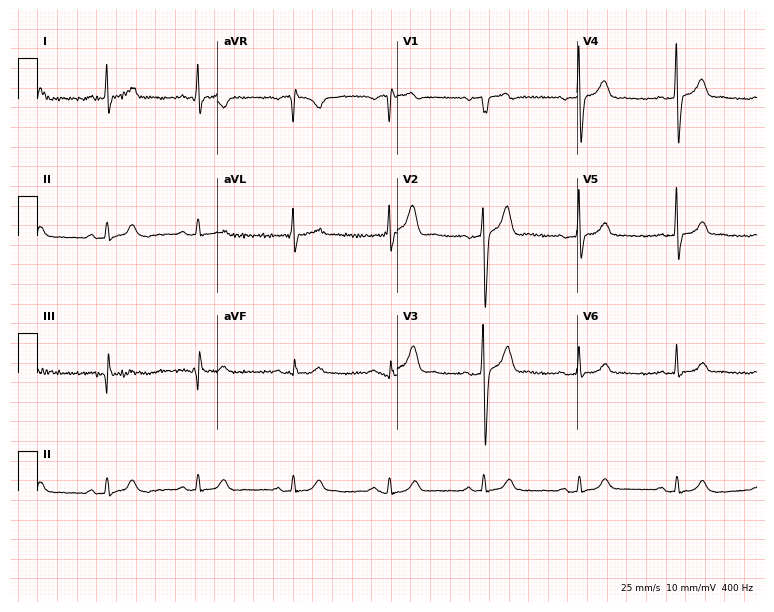
12-lead ECG from a 56-year-old male patient (7.3-second recording at 400 Hz). Recorded interpretation: within normal limits.